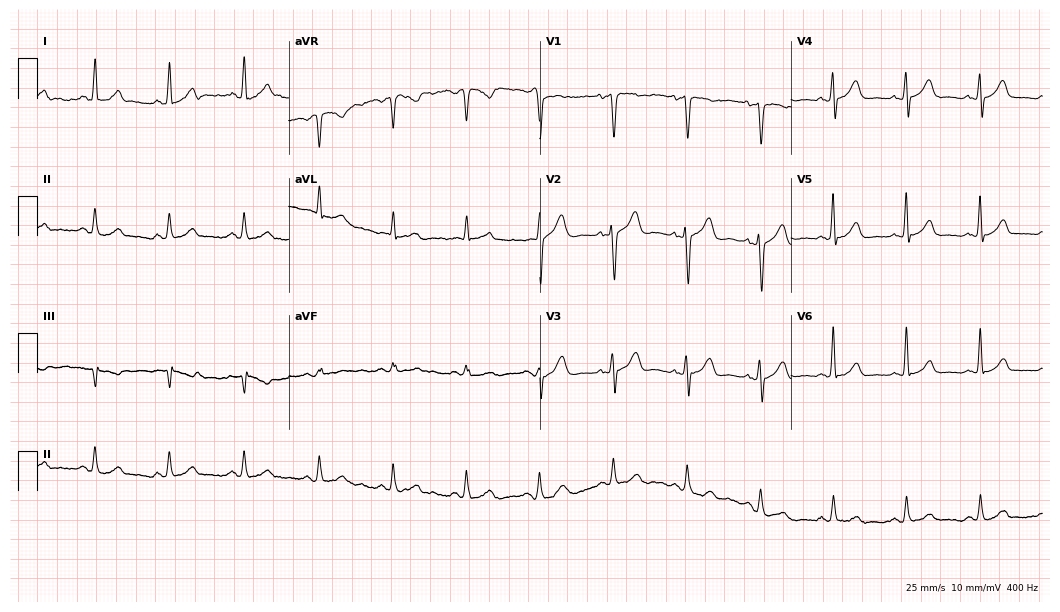
ECG (10.2-second recording at 400 Hz) — a male patient, 57 years old. Labelled as a normal ECG.